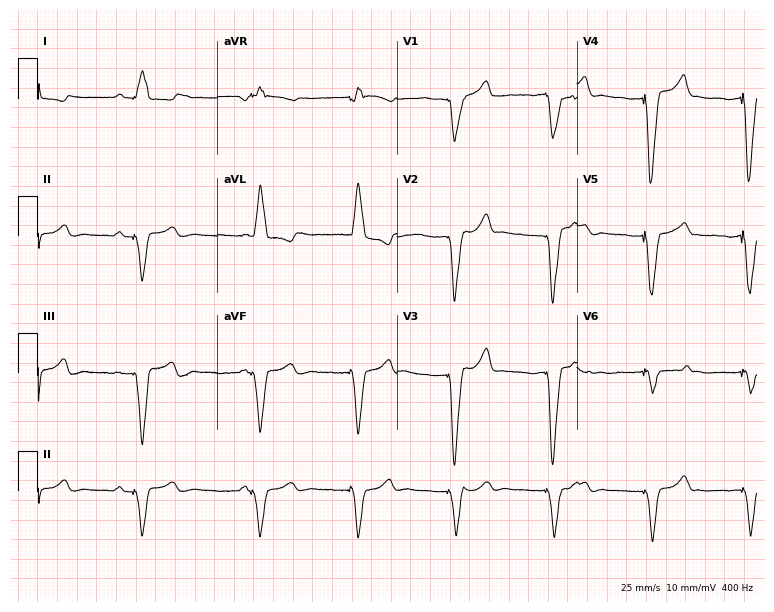
ECG (7.3-second recording at 400 Hz) — a female, 42 years old. Screened for six findings — first-degree AV block, right bundle branch block, left bundle branch block, sinus bradycardia, atrial fibrillation, sinus tachycardia — none is recorded.